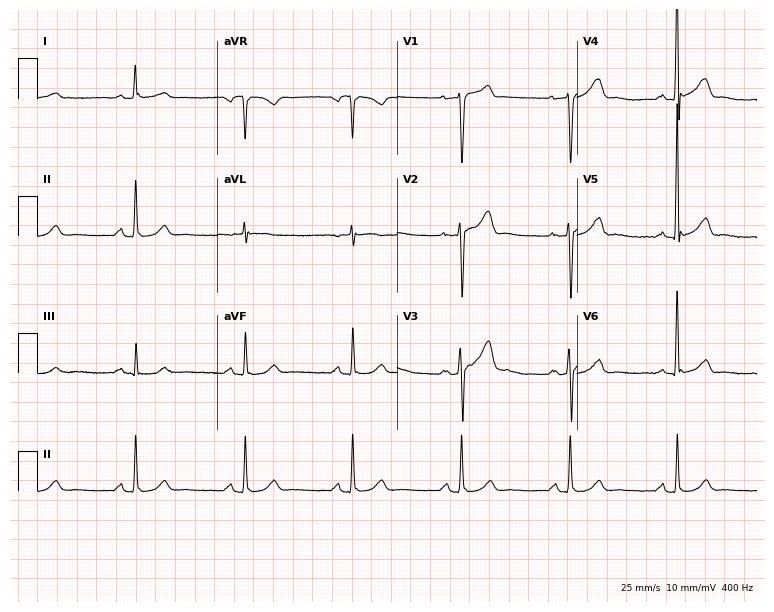
Resting 12-lead electrocardiogram (7.3-second recording at 400 Hz). Patient: a male, 71 years old. None of these six findings is recorded: first-degree AV block, right bundle branch block, left bundle branch block, sinus bradycardia, atrial fibrillation, sinus tachycardia.